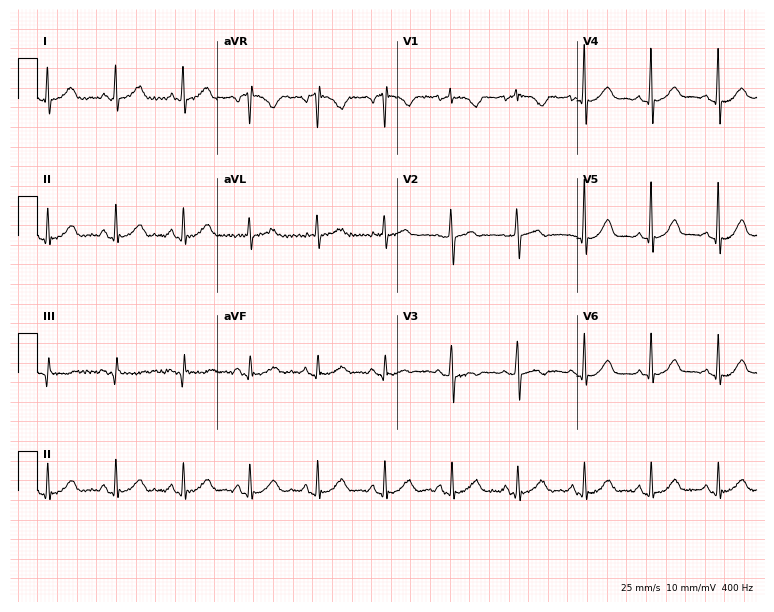
ECG (7.3-second recording at 400 Hz) — a female patient, 70 years old. Labelled as a normal ECG.